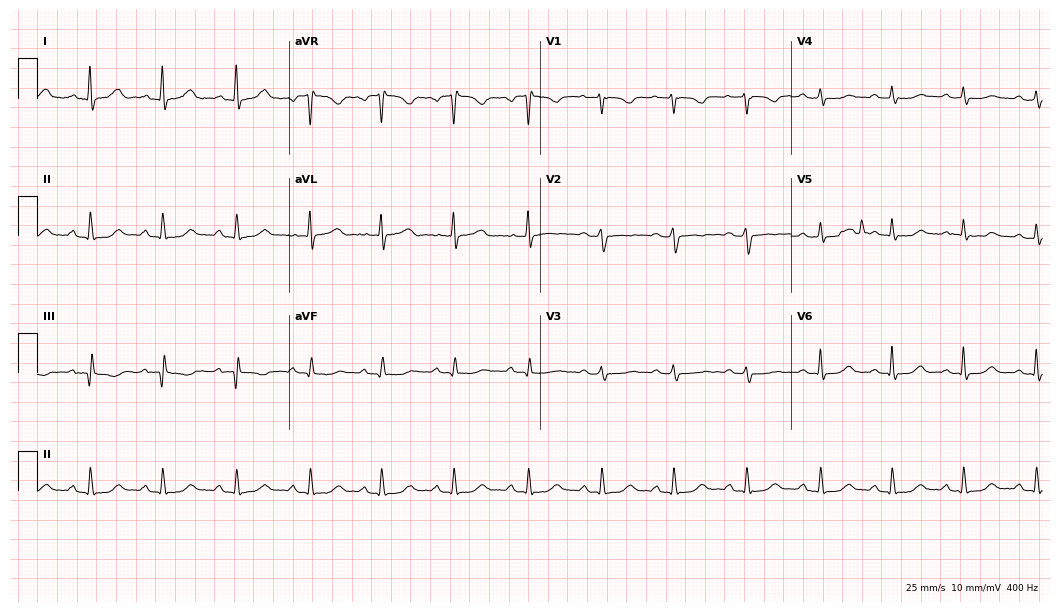
12-lead ECG from a woman, 42 years old (10.2-second recording at 400 Hz). Recorded interpretation: within normal limits.